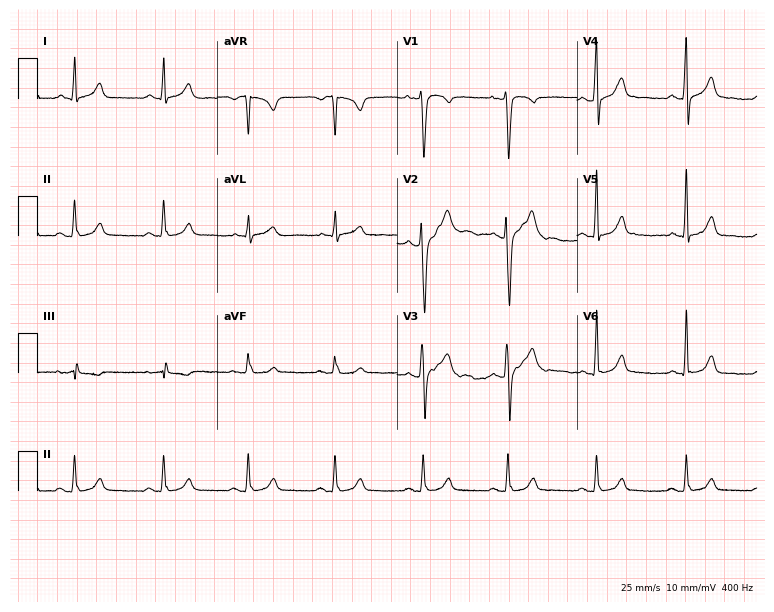
Electrocardiogram (7.3-second recording at 400 Hz), a 30-year-old male. Overall reading on record: normal ECG.